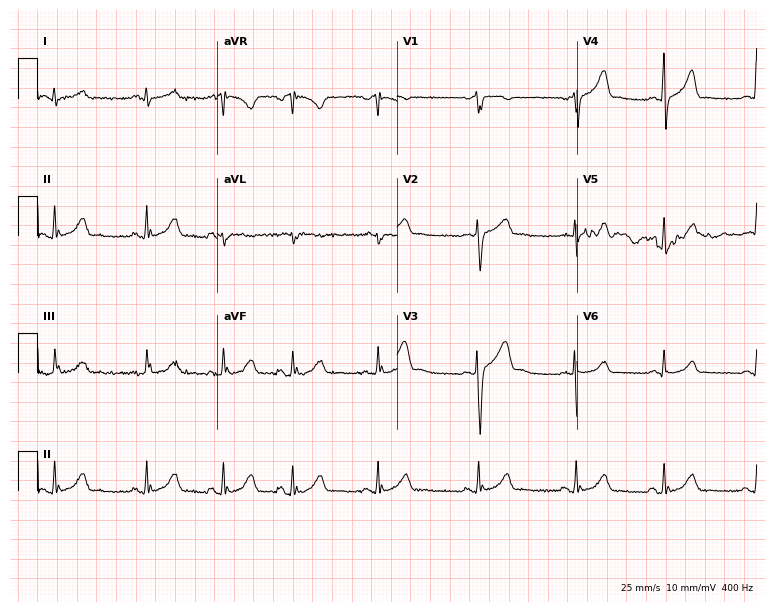
Standard 12-lead ECG recorded from a 20-year-old female (7.3-second recording at 400 Hz). None of these six findings is recorded: first-degree AV block, right bundle branch block, left bundle branch block, sinus bradycardia, atrial fibrillation, sinus tachycardia. Findings outside these six are not listed.